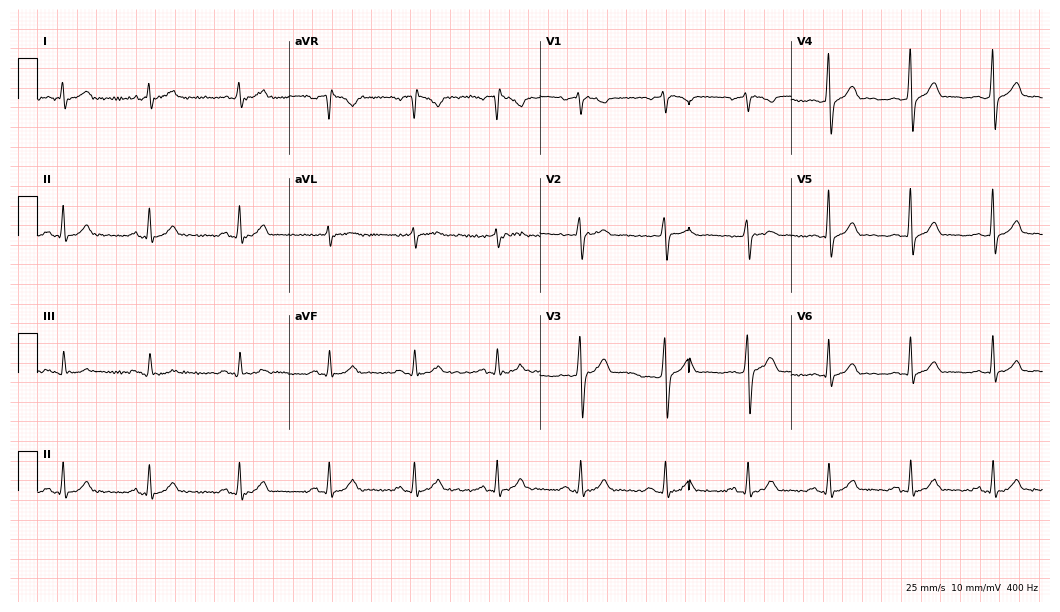
Standard 12-lead ECG recorded from a 41-year-old man (10.2-second recording at 400 Hz). None of these six findings is recorded: first-degree AV block, right bundle branch block, left bundle branch block, sinus bradycardia, atrial fibrillation, sinus tachycardia.